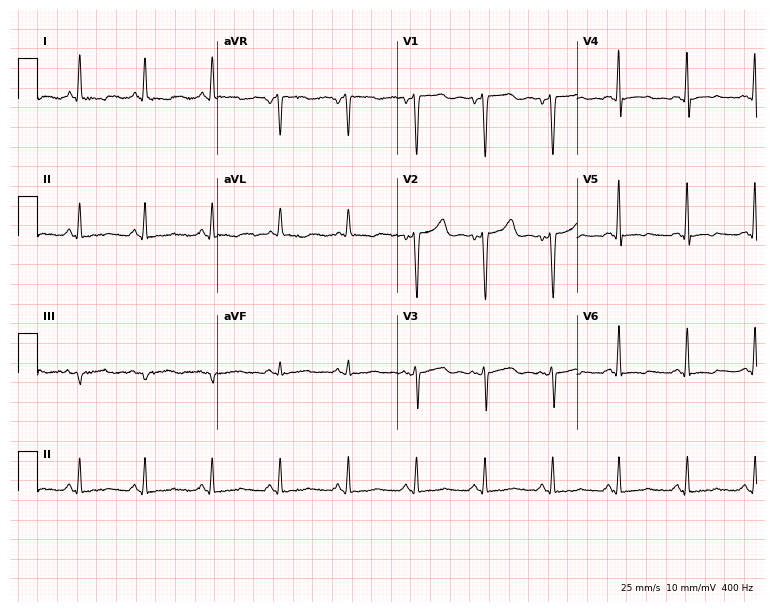
Electrocardiogram (7.3-second recording at 400 Hz), a female patient, 48 years old. Of the six screened findings (first-degree AV block, right bundle branch block, left bundle branch block, sinus bradycardia, atrial fibrillation, sinus tachycardia), none is recorded. Other findings, if any, are not listed.